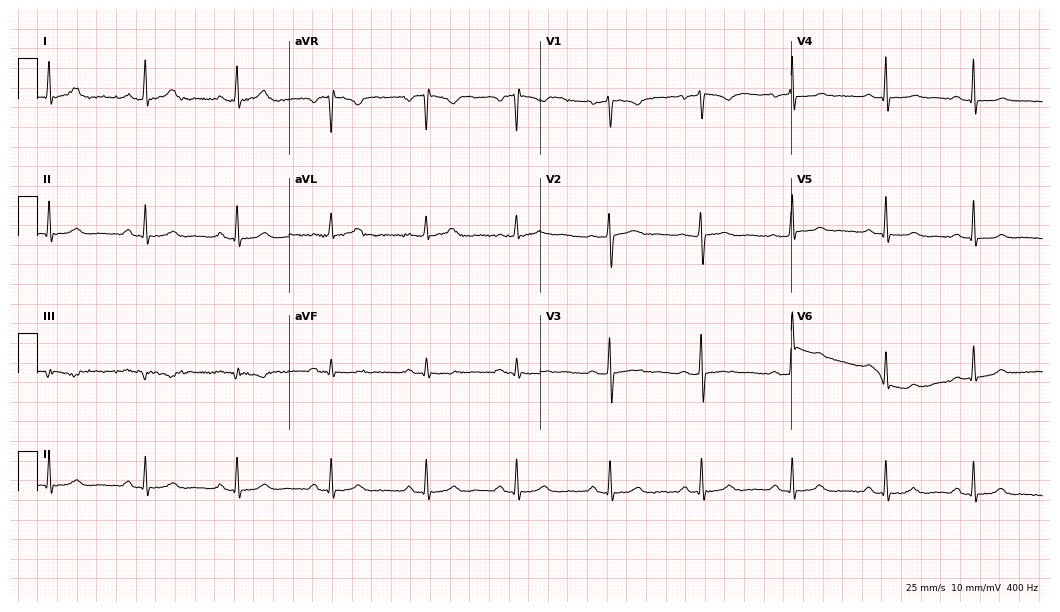
Resting 12-lead electrocardiogram (10.2-second recording at 400 Hz). Patient: a 42-year-old woman. Read as a normal ECG.